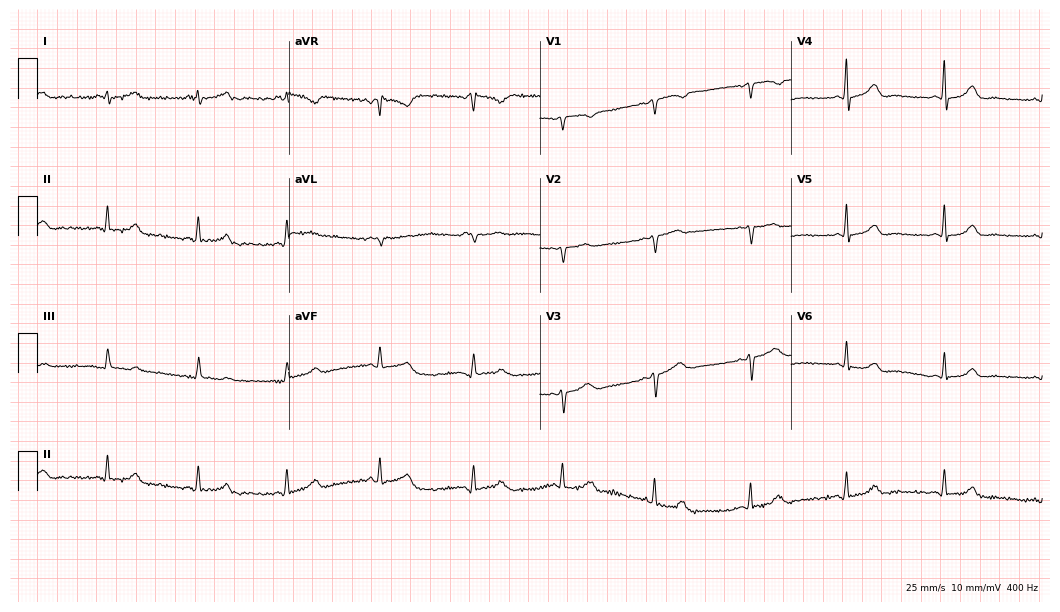
Electrocardiogram, a 49-year-old woman. Of the six screened findings (first-degree AV block, right bundle branch block, left bundle branch block, sinus bradycardia, atrial fibrillation, sinus tachycardia), none is recorded.